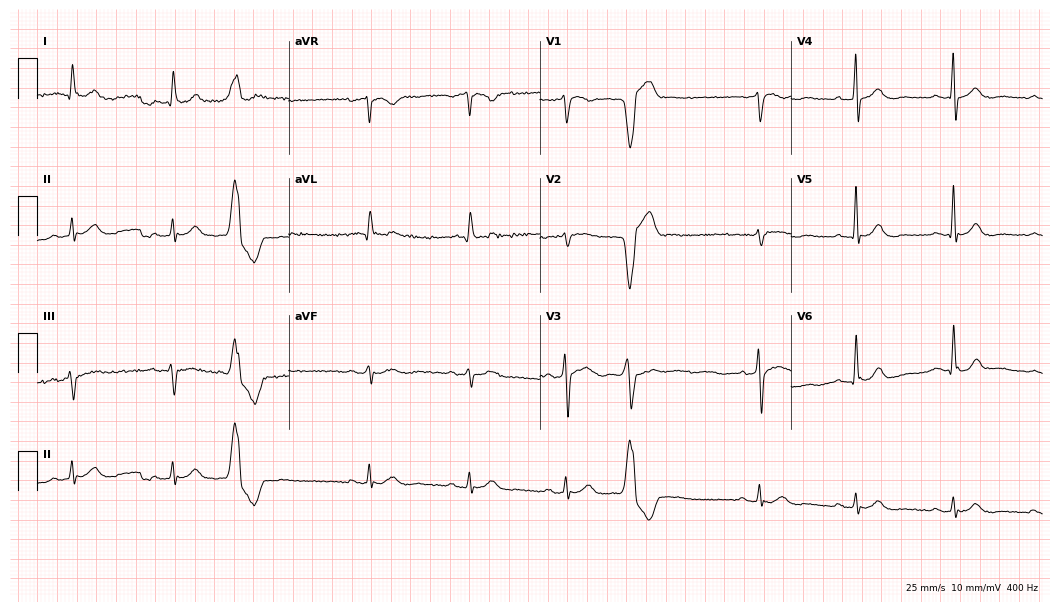
Resting 12-lead electrocardiogram. Patient: a male, 68 years old. None of these six findings is recorded: first-degree AV block, right bundle branch block, left bundle branch block, sinus bradycardia, atrial fibrillation, sinus tachycardia. Other findings, if any, are not listed.